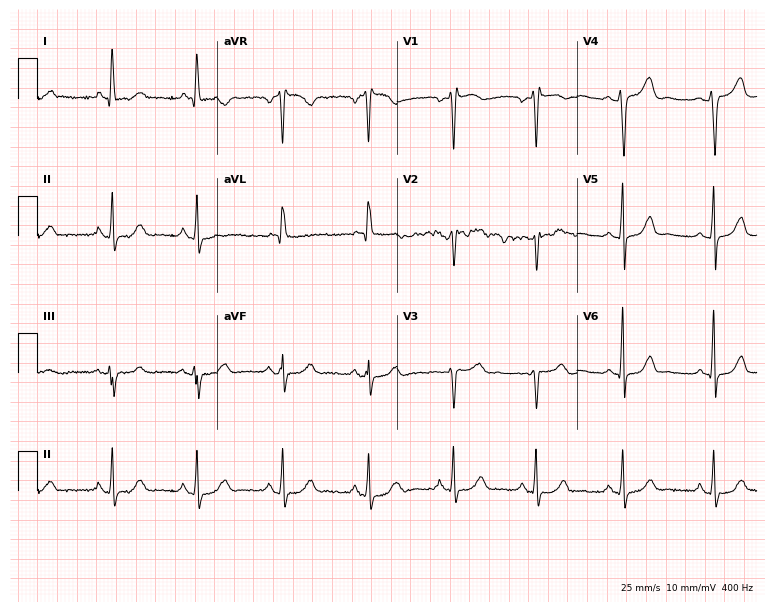
12-lead ECG from a 46-year-old female patient (7.3-second recording at 400 Hz). No first-degree AV block, right bundle branch block, left bundle branch block, sinus bradycardia, atrial fibrillation or sinus tachycardia recorded for this tracing.